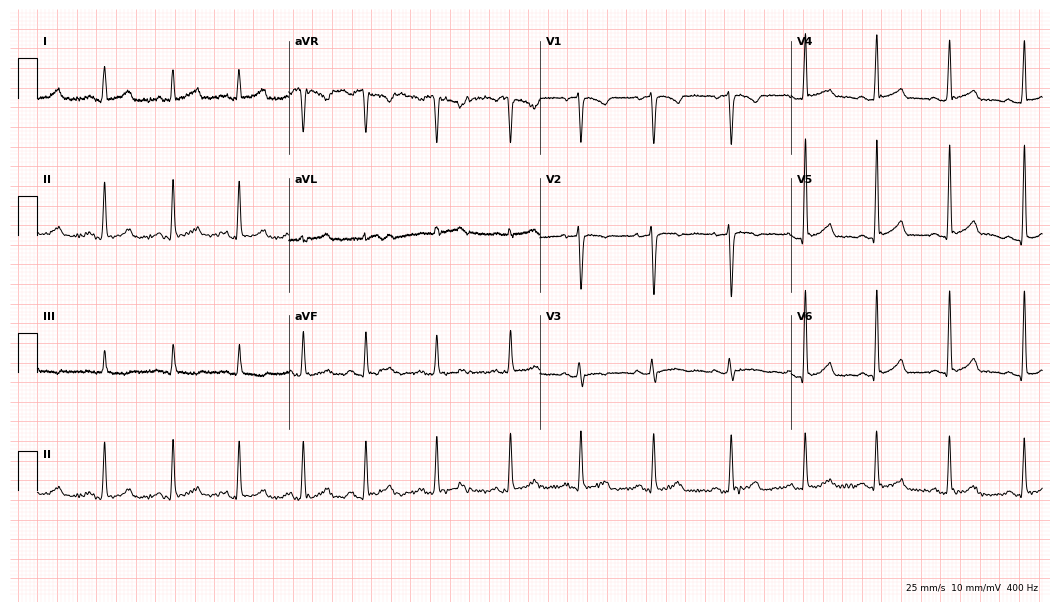
Electrocardiogram, a woman, 34 years old. Of the six screened findings (first-degree AV block, right bundle branch block (RBBB), left bundle branch block (LBBB), sinus bradycardia, atrial fibrillation (AF), sinus tachycardia), none is recorded.